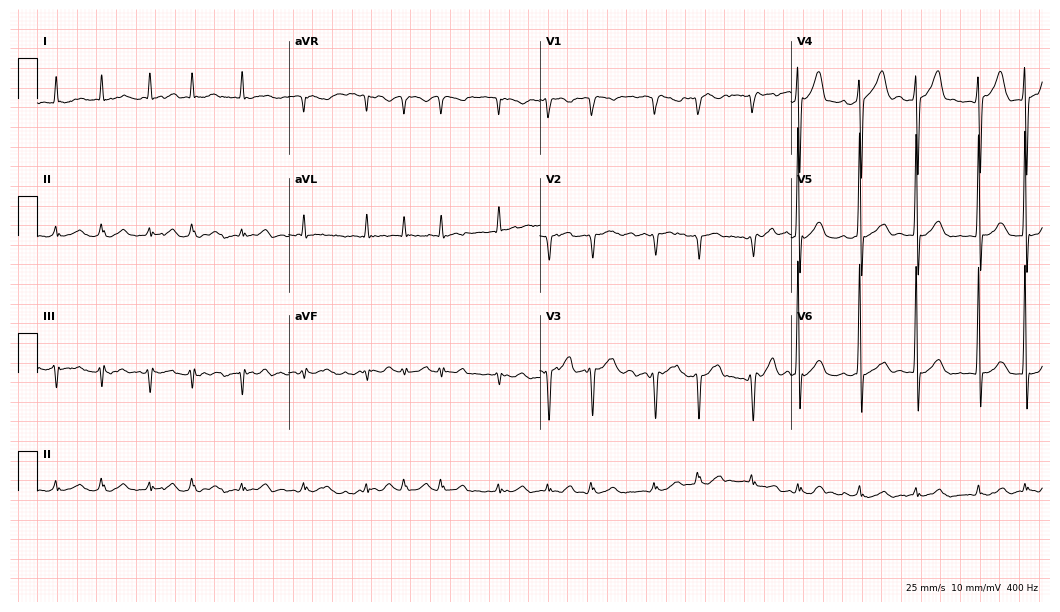
Resting 12-lead electrocardiogram (10.2-second recording at 400 Hz). Patient: a 74-year-old male. None of these six findings is recorded: first-degree AV block, right bundle branch block, left bundle branch block, sinus bradycardia, atrial fibrillation, sinus tachycardia. Only these six findings were labelled.